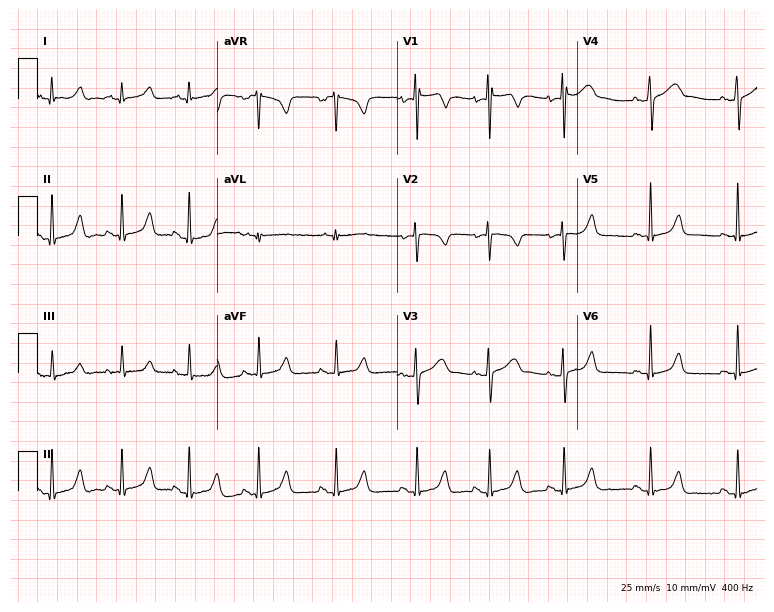
Electrocardiogram, a woman, 34 years old. Overall reading on record: normal ECG.